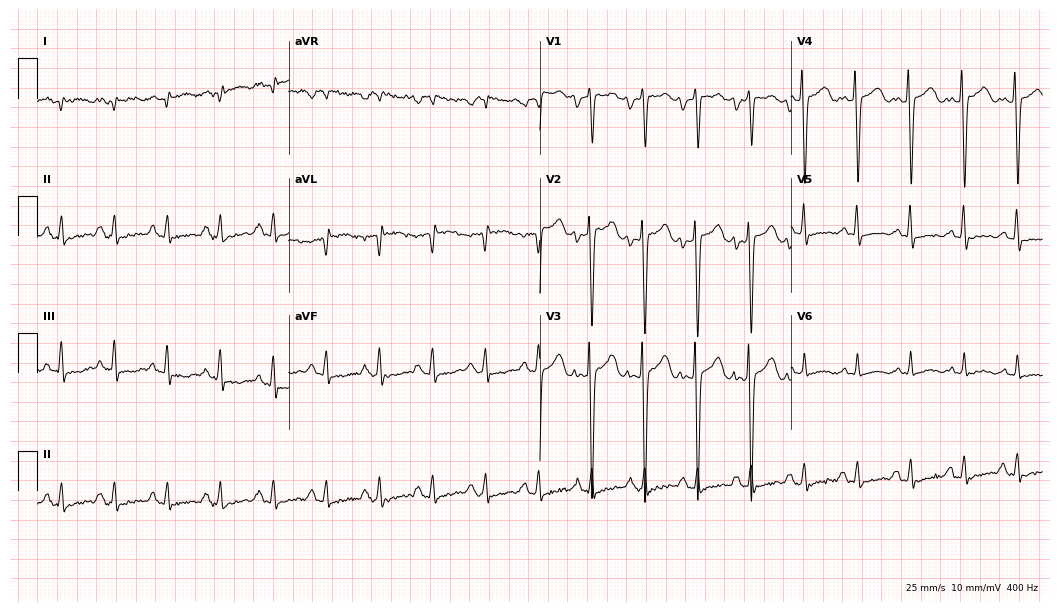
ECG — a 41-year-old male patient. Screened for six findings — first-degree AV block, right bundle branch block, left bundle branch block, sinus bradycardia, atrial fibrillation, sinus tachycardia — none is recorded. Other findings, if any, are not listed.